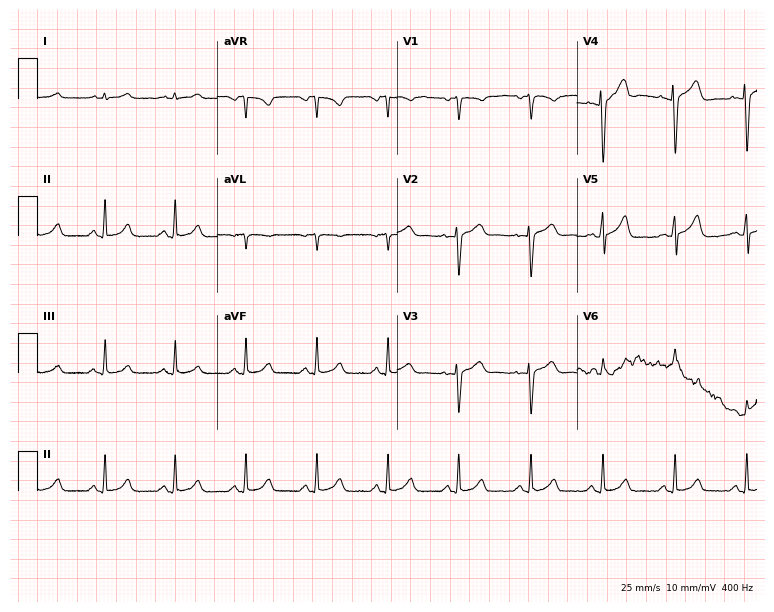
12-lead ECG from a 49-year-old man. Labelled as a normal ECG.